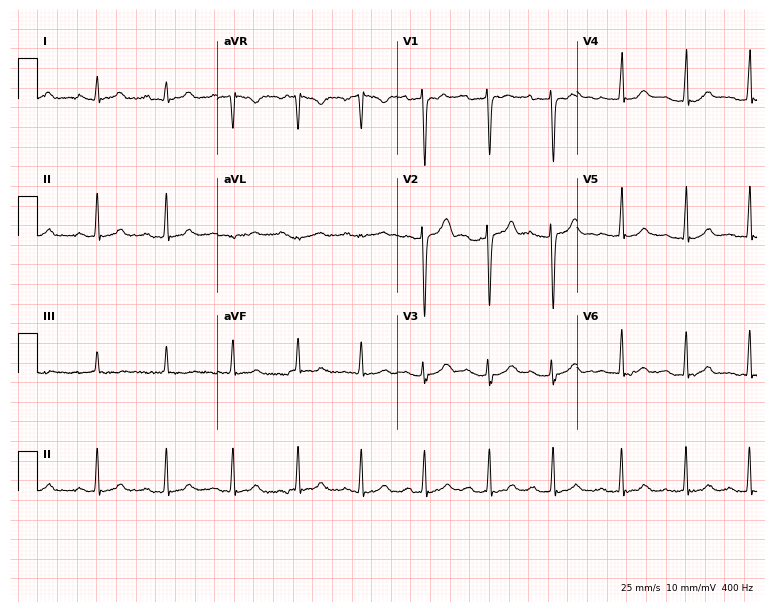
12-lead ECG from a female patient, 18 years old (7.3-second recording at 400 Hz). Recorded interpretation: within normal limits.